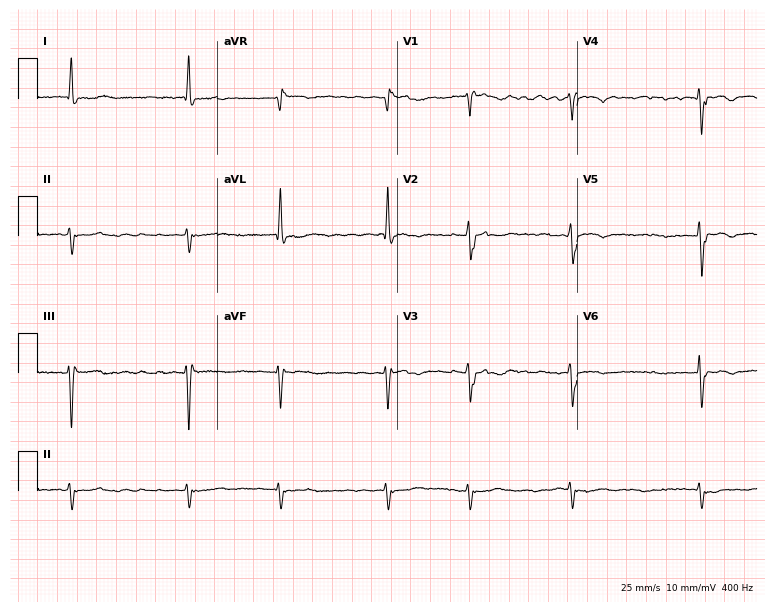
Standard 12-lead ECG recorded from a woman, 80 years old. The tracing shows atrial fibrillation.